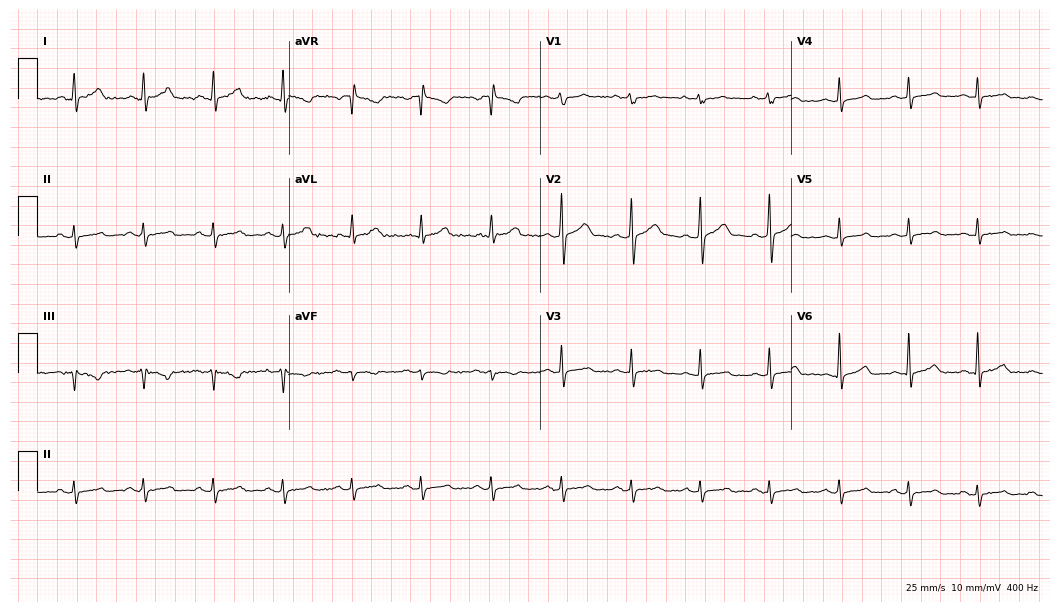
Electrocardiogram (10.2-second recording at 400 Hz), a male, 42 years old. Of the six screened findings (first-degree AV block, right bundle branch block, left bundle branch block, sinus bradycardia, atrial fibrillation, sinus tachycardia), none is recorded.